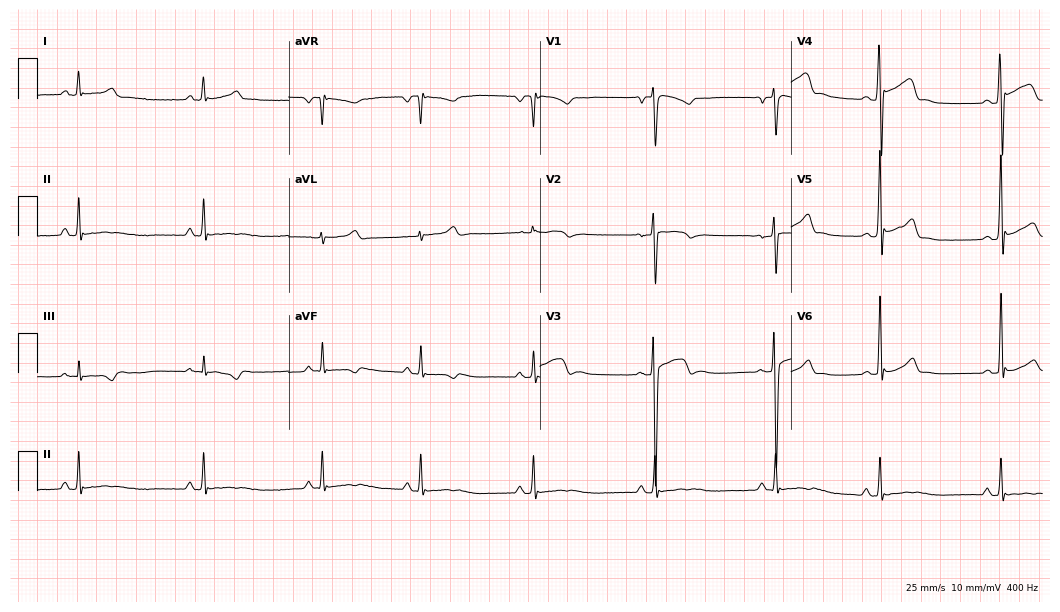
12-lead ECG (10.2-second recording at 400 Hz) from an 18-year-old male. Labelled as a normal ECG.